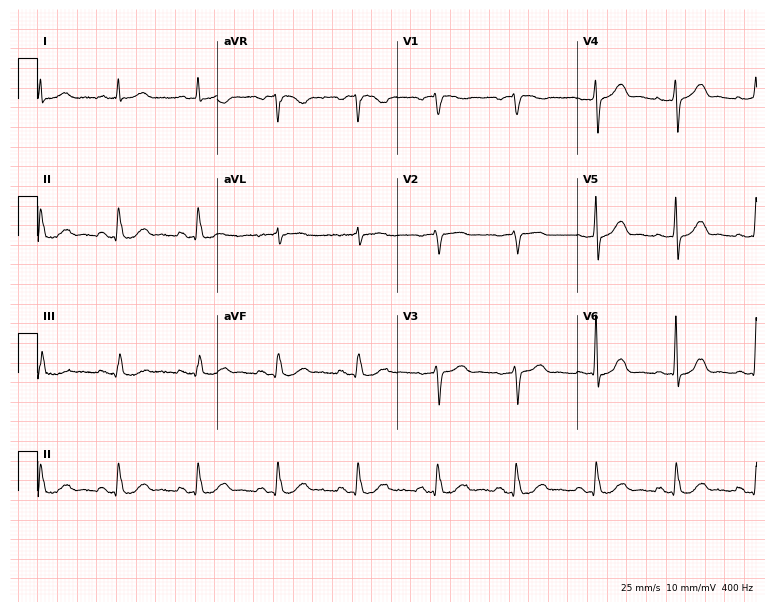
12-lead ECG from a male patient, 74 years old. Screened for six findings — first-degree AV block, right bundle branch block, left bundle branch block, sinus bradycardia, atrial fibrillation, sinus tachycardia — none is recorded. Findings outside these six are not listed.